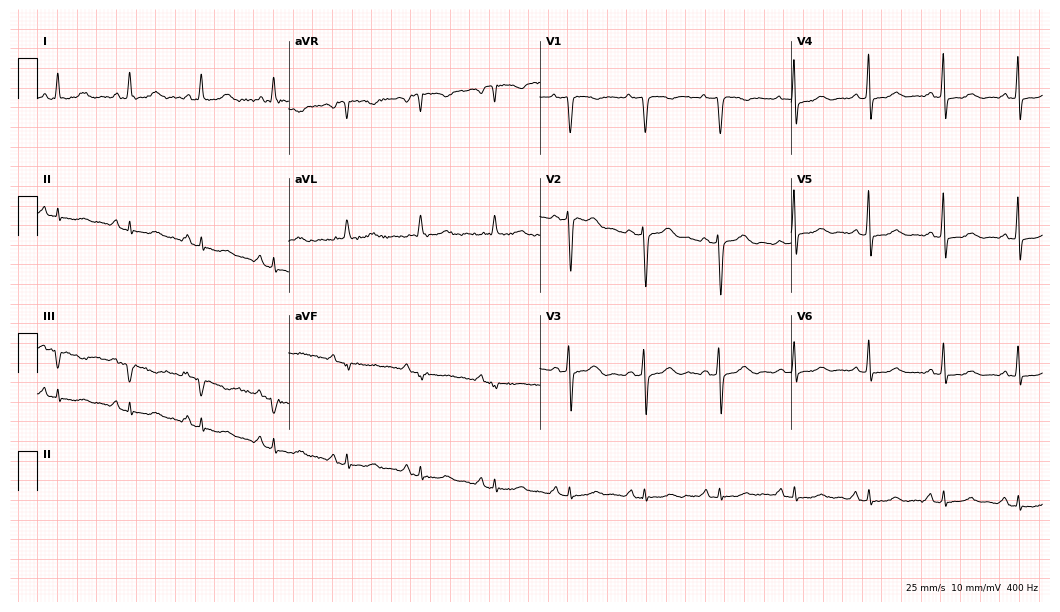
Standard 12-lead ECG recorded from a 74-year-old woman (10.2-second recording at 400 Hz). None of these six findings is recorded: first-degree AV block, right bundle branch block, left bundle branch block, sinus bradycardia, atrial fibrillation, sinus tachycardia.